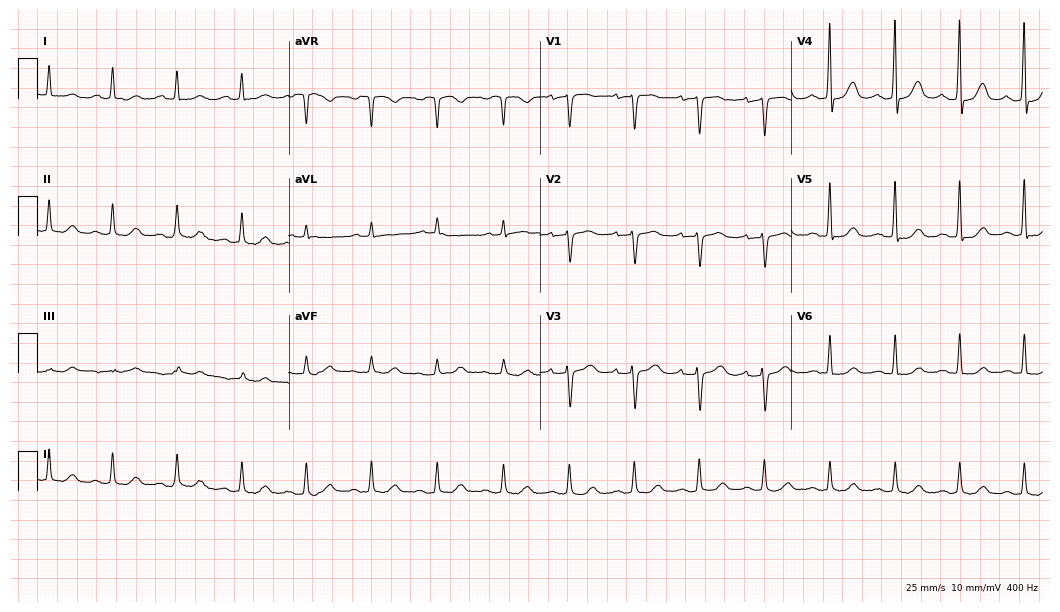
Resting 12-lead electrocardiogram. Patient: a female, 69 years old. None of these six findings is recorded: first-degree AV block, right bundle branch block, left bundle branch block, sinus bradycardia, atrial fibrillation, sinus tachycardia.